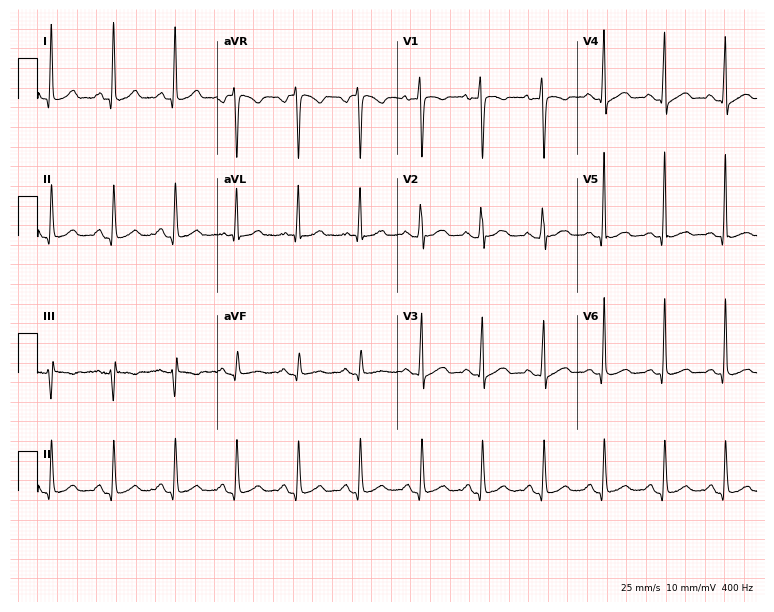
12-lead ECG from a female, 32 years old. No first-degree AV block, right bundle branch block, left bundle branch block, sinus bradycardia, atrial fibrillation or sinus tachycardia recorded for this tracing. Other findings, if any, are not listed.